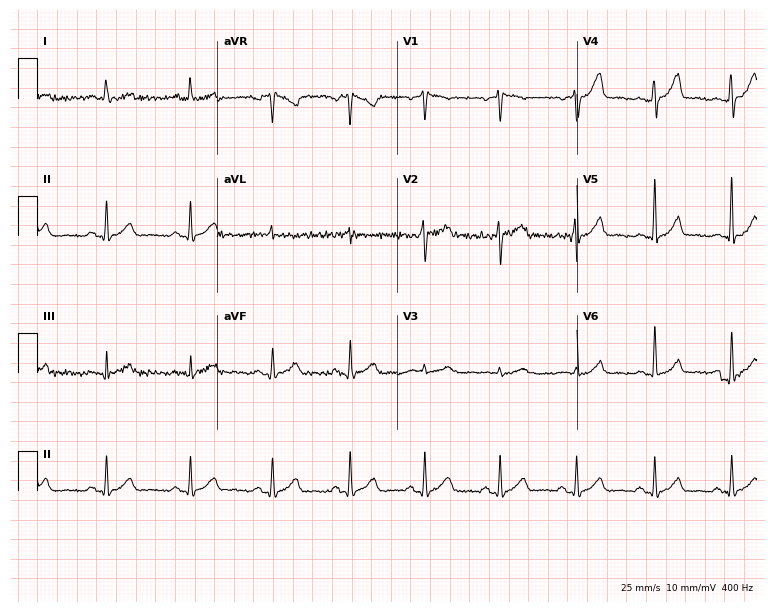
12-lead ECG from a female patient, 48 years old. Screened for six findings — first-degree AV block, right bundle branch block (RBBB), left bundle branch block (LBBB), sinus bradycardia, atrial fibrillation (AF), sinus tachycardia — none is recorded. Other findings, if any, are not listed.